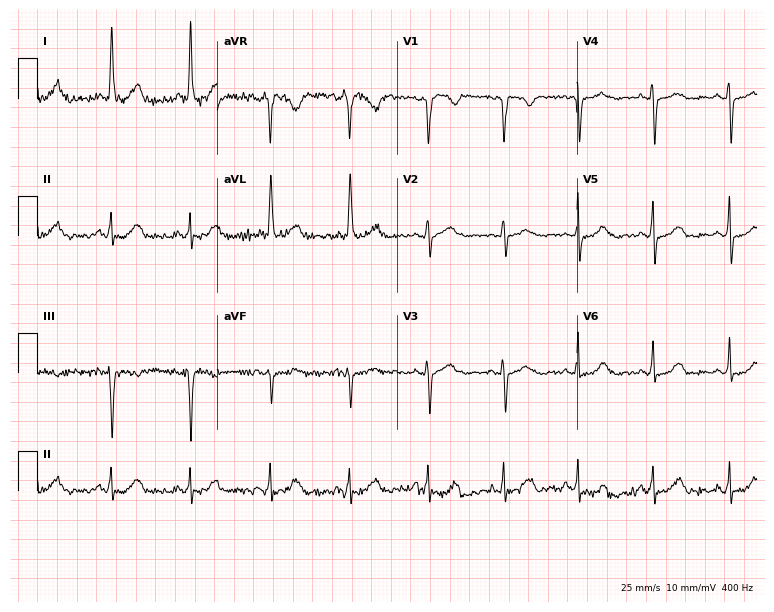
ECG (7.3-second recording at 400 Hz) — a 54-year-old female patient. Labelled as a normal ECG.